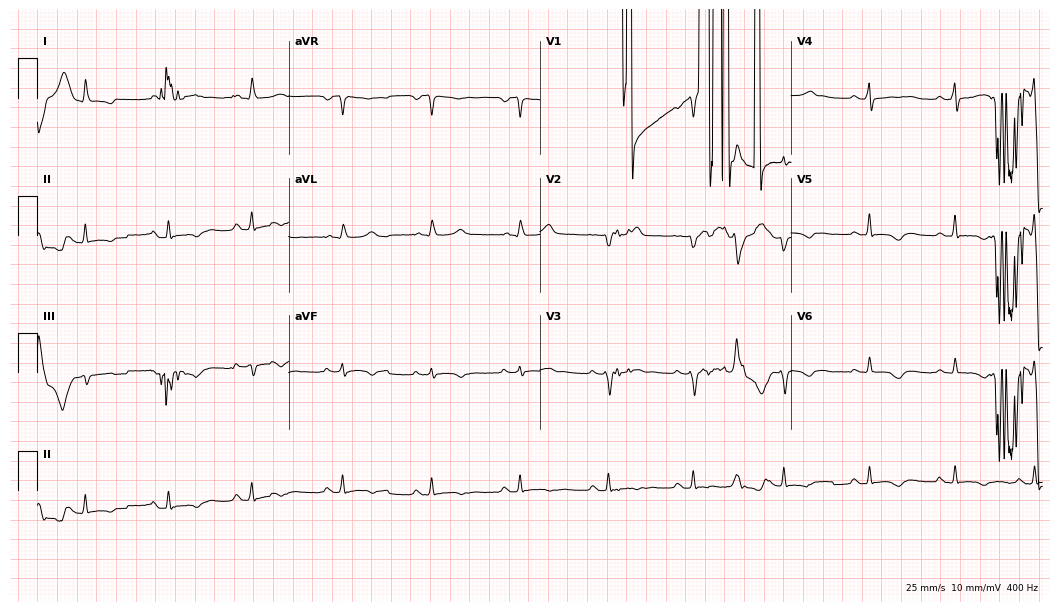
Resting 12-lead electrocardiogram. Patient: a 39-year-old female. None of these six findings is recorded: first-degree AV block, right bundle branch block (RBBB), left bundle branch block (LBBB), sinus bradycardia, atrial fibrillation (AF), sinus tachycardia.